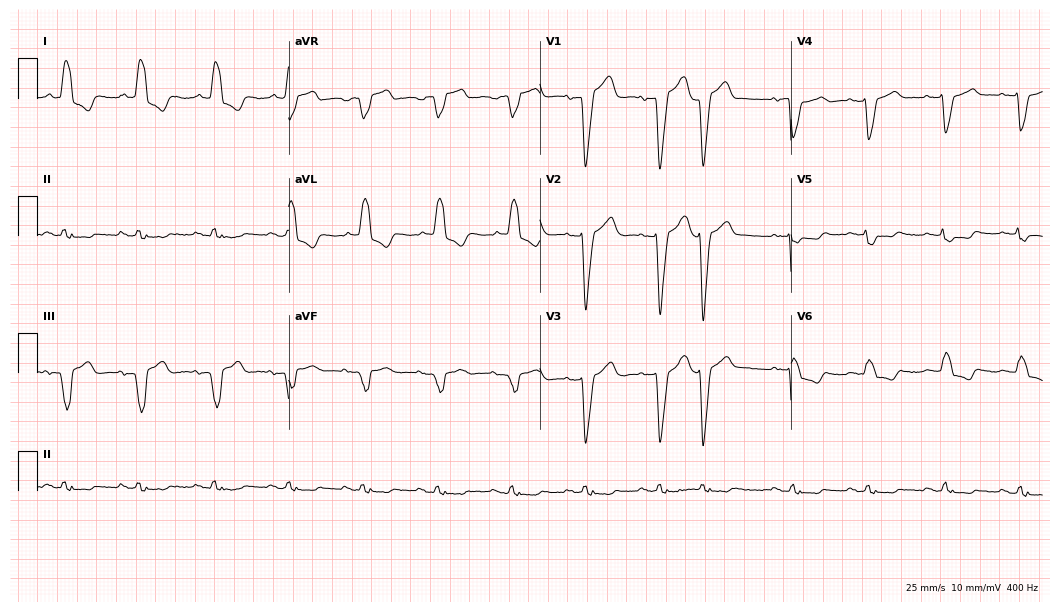
ECG — a male patient, 82 years old. Findings include left bundle branch block.